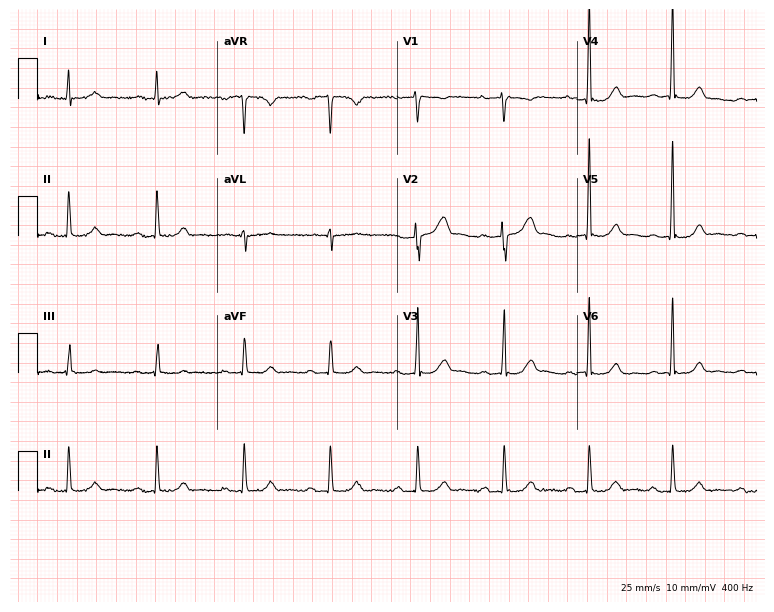
Standard 12-lead ECG recorded from a 34-year-old female patient (7.3-second recording at 400 Hz). None of these six findings is recorded: first-degree AV block, right bundle branch block (RBBB), left bundle branch block (LBBB), sinus bradycardia, atrial fibrillation (AF), sinus tachycardia.